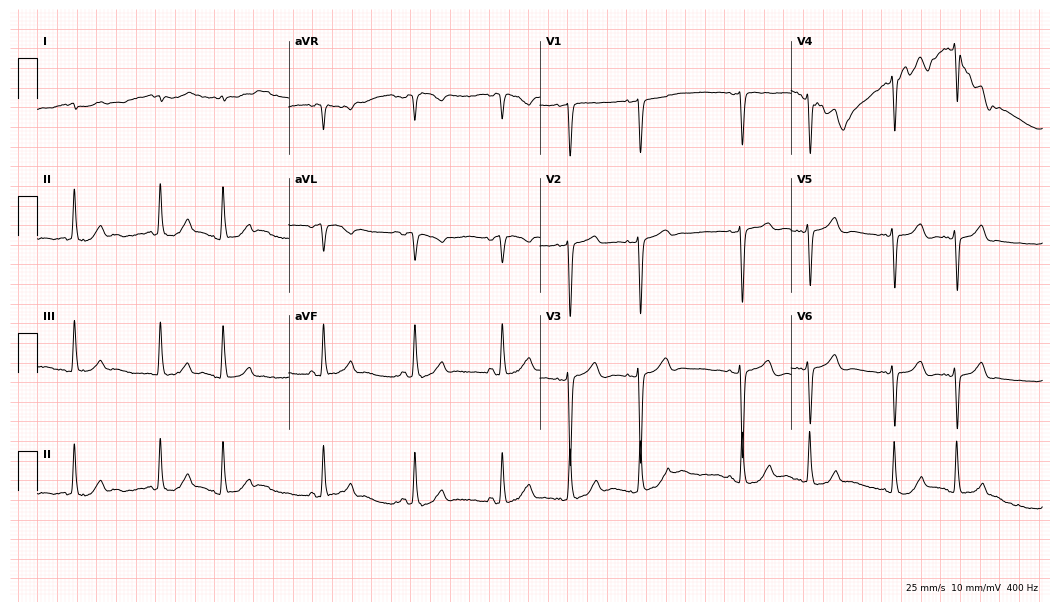
Electrocardiogram (10.2-second recording at 400 Hz), an 82-year-old man. Of the six screened findings (first-degree AV block, right bundle branch block (RBBB), left bundle branch block (LBBB), sinus bradycardia, atrial fibrillation (AF), sinus tachycardia), none is recorded.